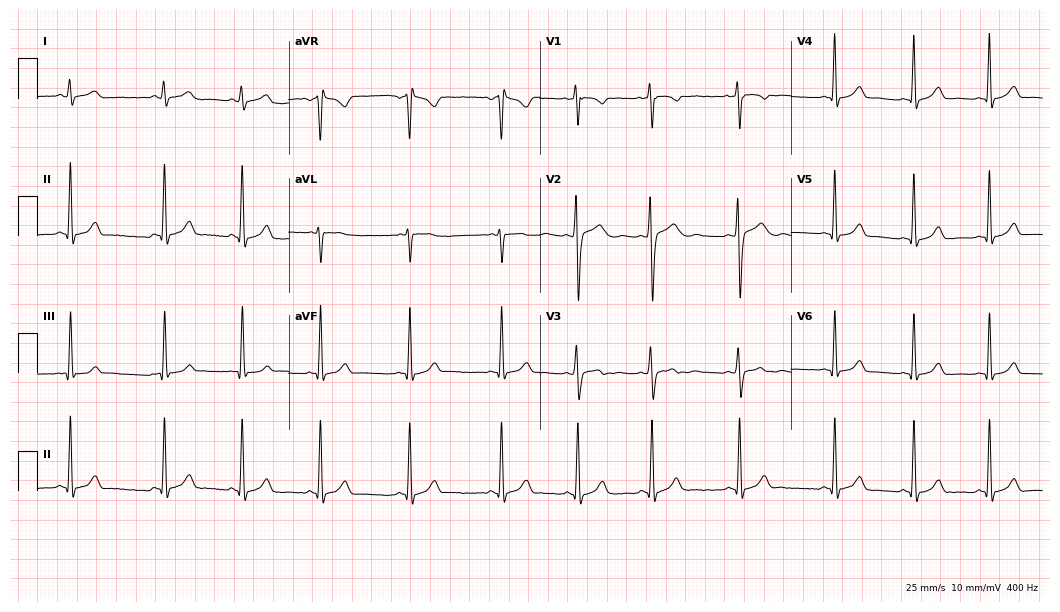
Standard 12-lead ECG recorded from a 19-year-old female (10.2-second recording at 400 Hz). Read as a normal ECG.